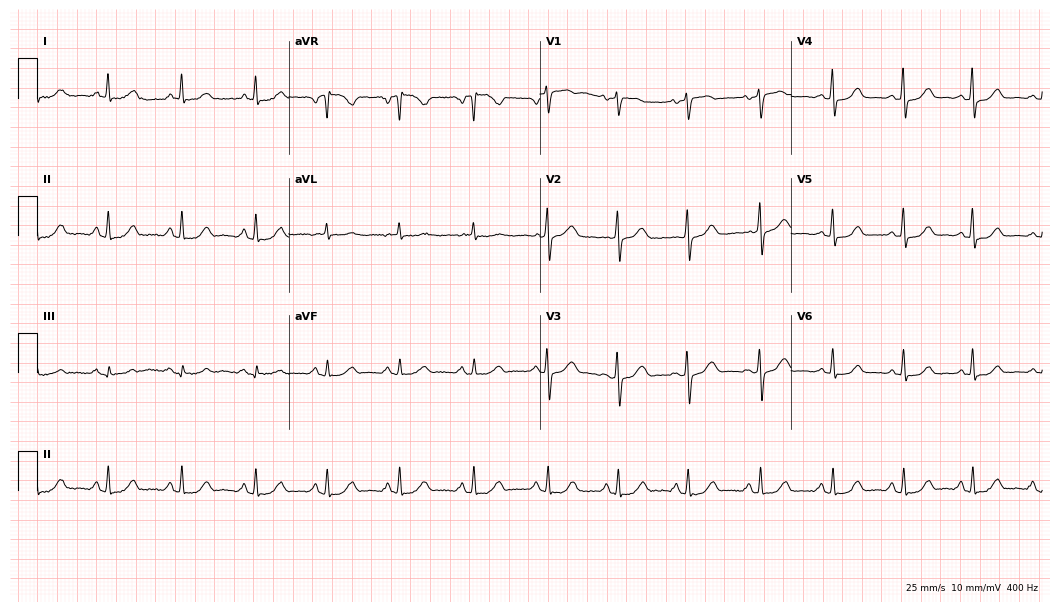
Electrocardiogram (10.2-second recording at 400 Hz), a female patient, 61 years old. Of the six screened findings (first-degree AV block, right bundle branch block, left bundle branch block, sinus bradycardia, atrial fibrillation, sinus tachycardia), none is recorded. Findings outside these six are not listed.